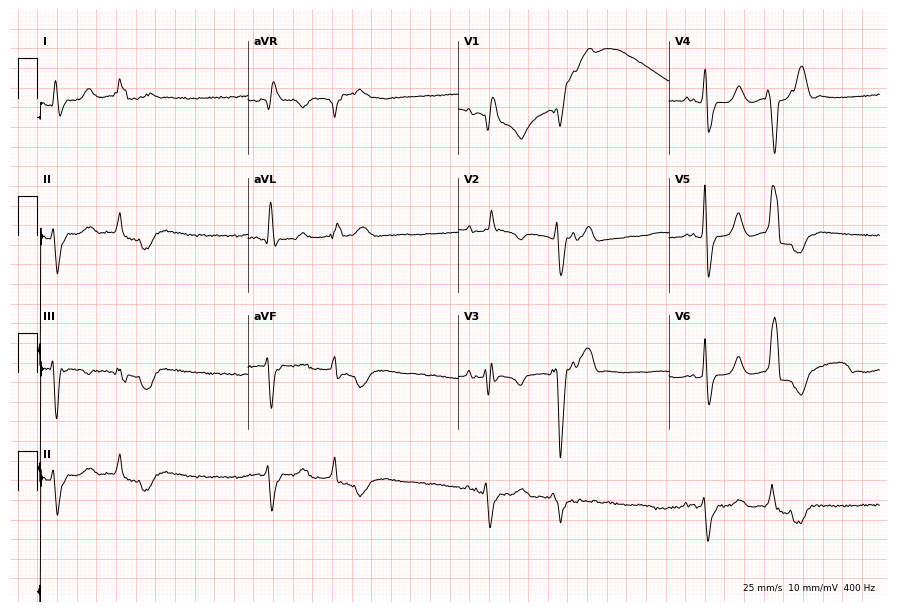
Resting 12-lead electrocardiogram (8.6-second recording at 400 Hz). Patient: an 80-year-old female. None of these six findings is recorded: first-degree AV block, right bundle branch block (RBBB), left bundle branch block (LBBB), sinus bradycardia, atrial fibrillation (AF), sinus tachycardia.